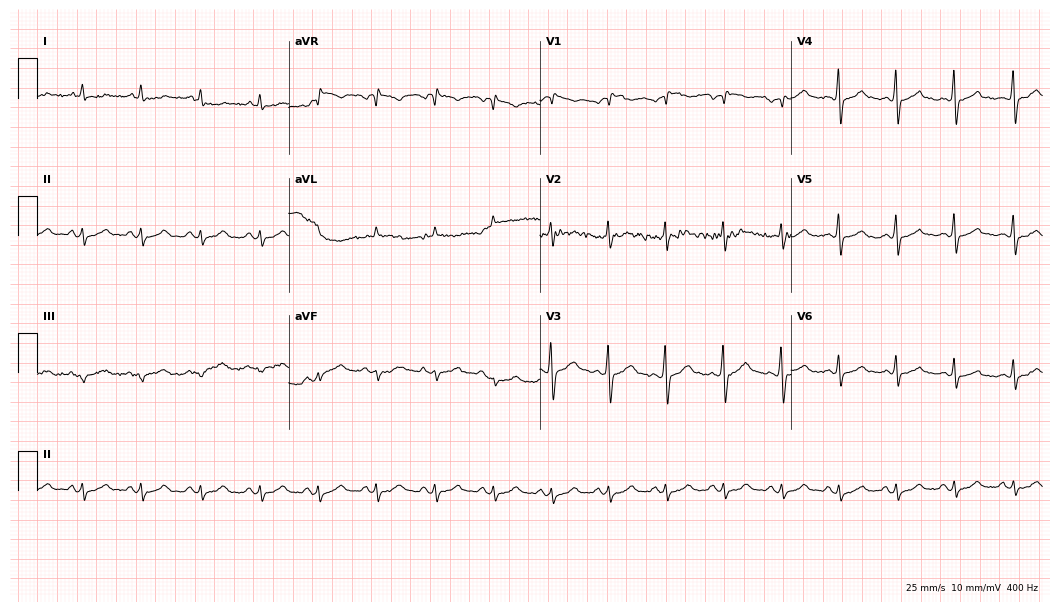
12-lead ECG from a male patient, 57 years old (10.2-second recording at 400 Hz). Shows sinus tachycardia (a sinus rate of 100 beats per minute or more).